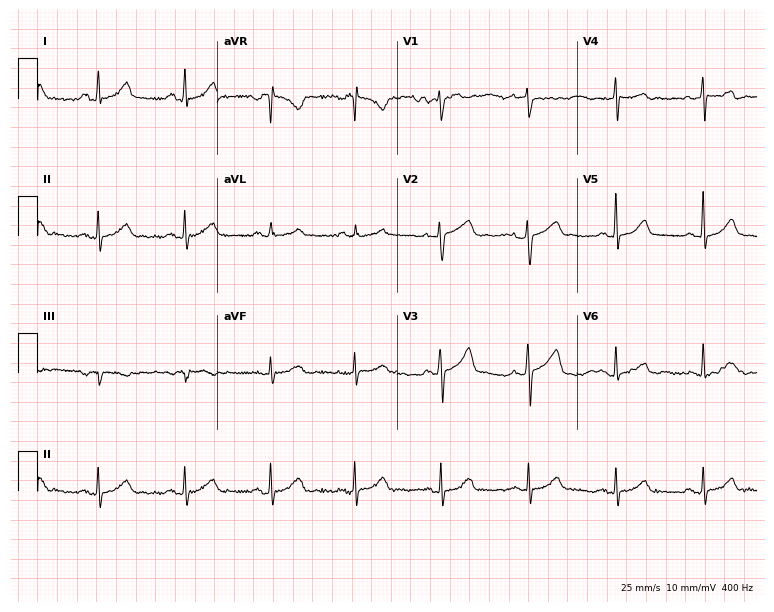
12-lead ECG from a 44-year-old female patient (7.3-second recording at 400 Hz). Recorded interpretation: within normal limits.